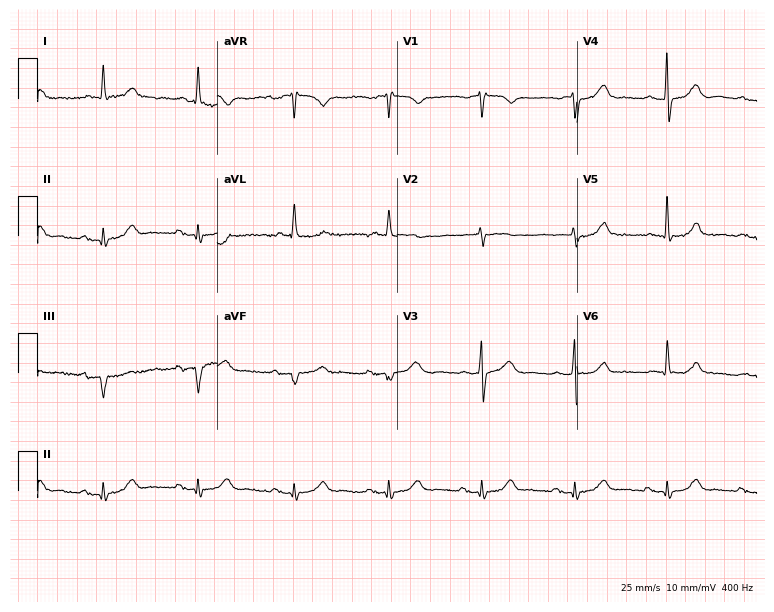
Electrocardiogram, a male patient, 74 years old. Of the six screened findings (first-degree AV block, right bundle branch block (RBBB), left bundle branch block (LBBB), sinus bradycardia, atrial fibrillation (AF), sinus tachycardia), none is recorded.